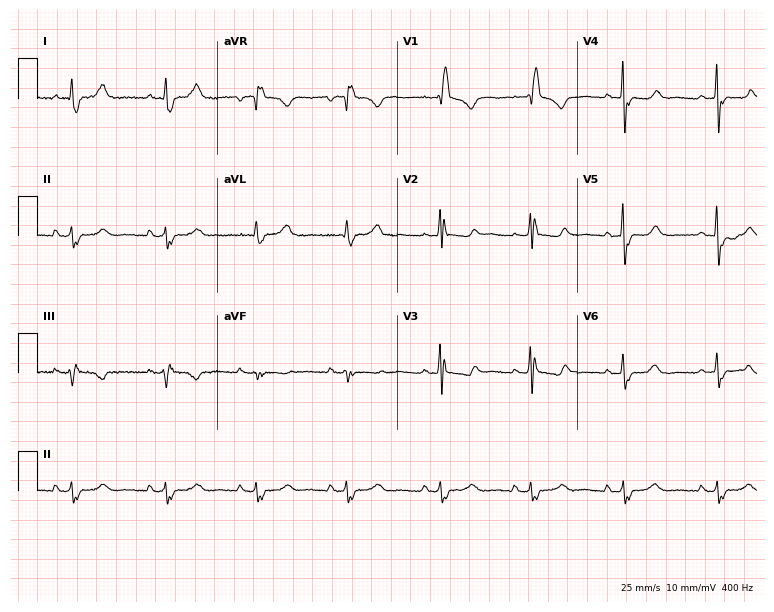
ECG — a woman, 56 years old. Findings include right bundle branch block (RBBB).